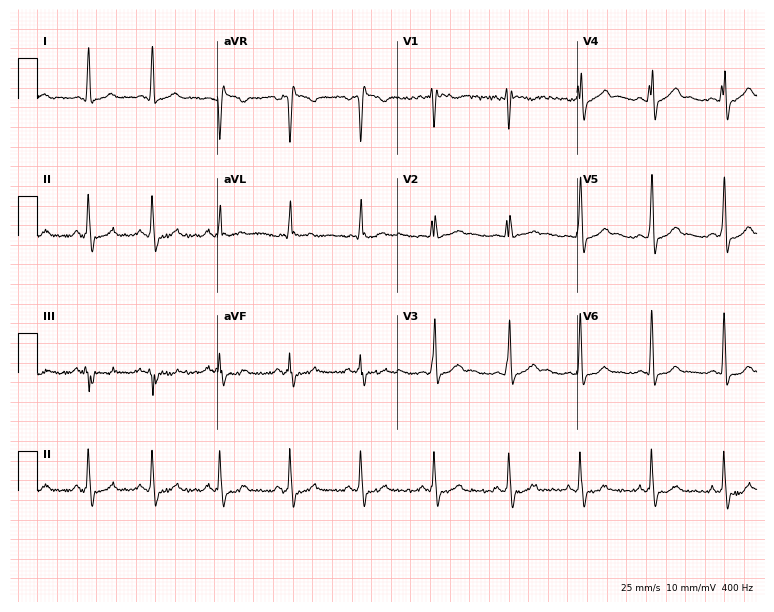
Standard 12-lead ECG recorded from a woman, 23 years old. None of these six findings is recorded: first-degree AV block, right bundle branch block, left bundle branch block, sinus bradycardia, atrial fibrillation, sinus tachycardia.